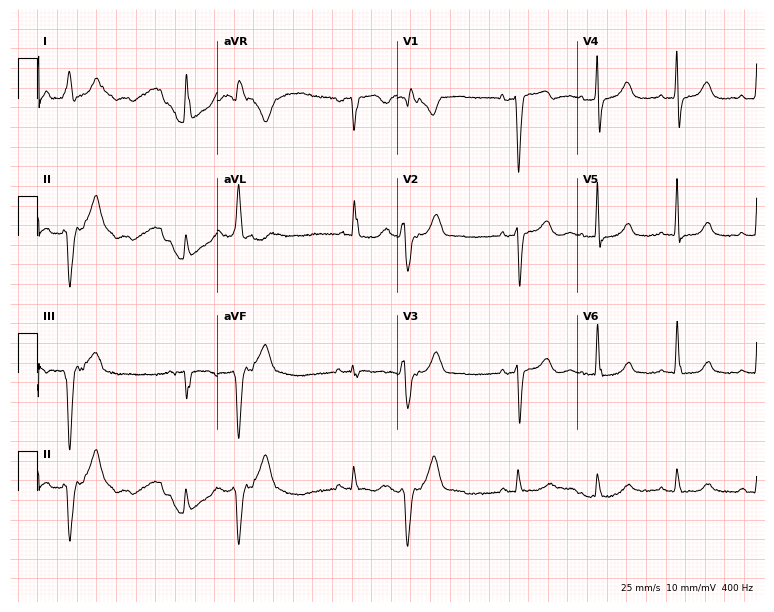
12-lead ECG (7.3-second recording at 400 Hz) from a woman, 83 years old. Screened for six findings — first-degree AV block, right bundle branch block (RBBB), left bundle branch block (LBBB), sinus bradycardia, atrial fibrillation (AF), sinus tachycardia — none is recorded.